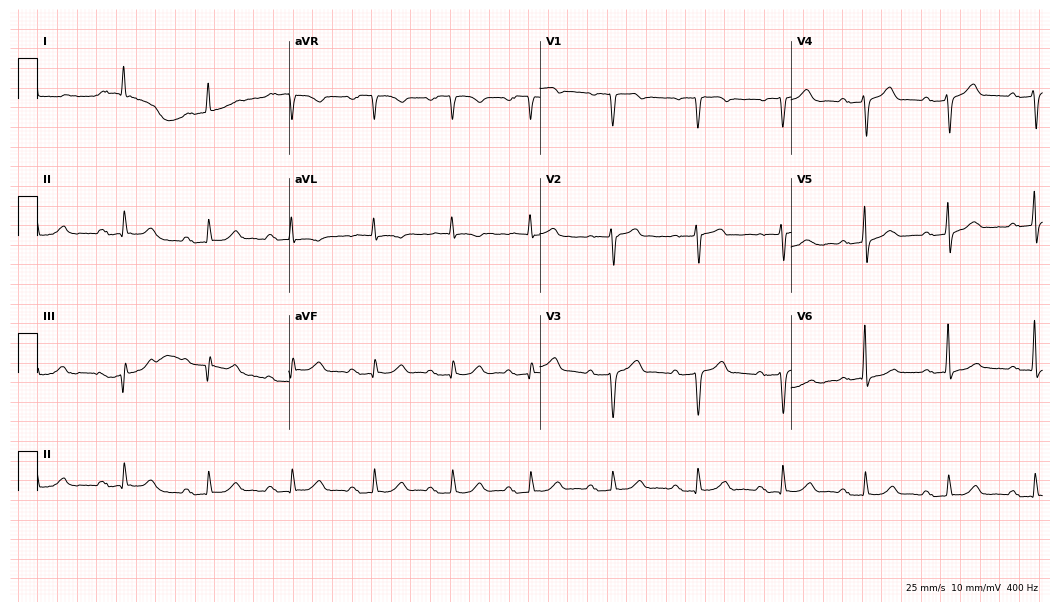
12-lead ECG from a man, 68 years old. Findings include first-degree AV block.